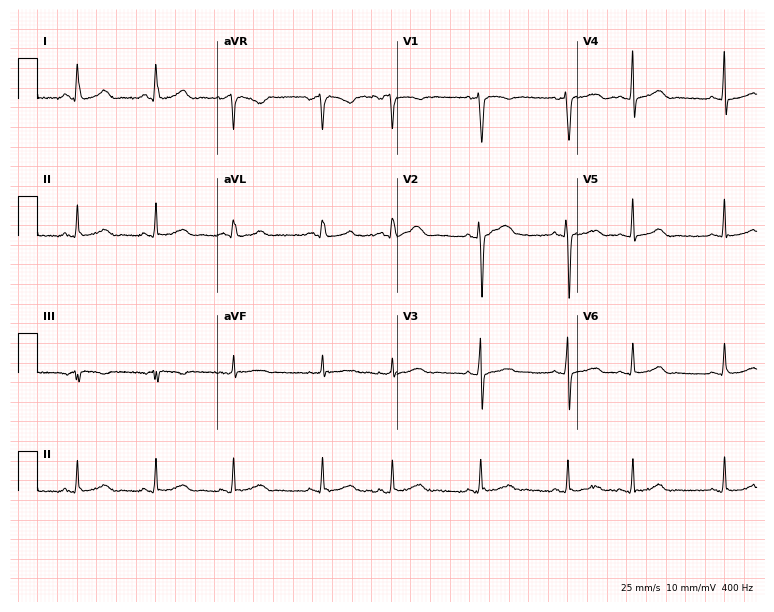
Electrocardiogram, a 19-year-old woman. Overall reading on record: normal ECG.